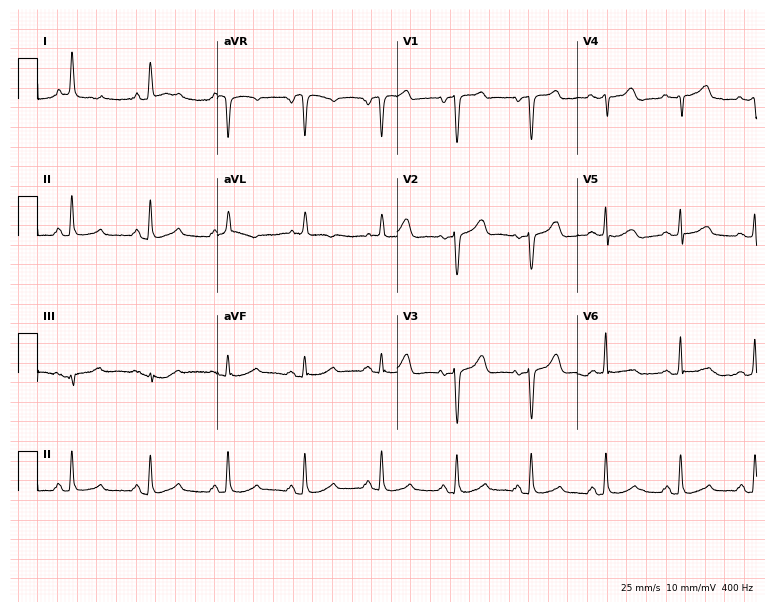
12-lead ECG from a female, 78 years old (7.3-second recording at 400 Hz). No first-degree AV block, right bundle branch block (RBBB), left bundle branch block (LBBB), sinus bradycardia, atrial fibrillation (AF) or sinus tachycardia recorded for this tracing.